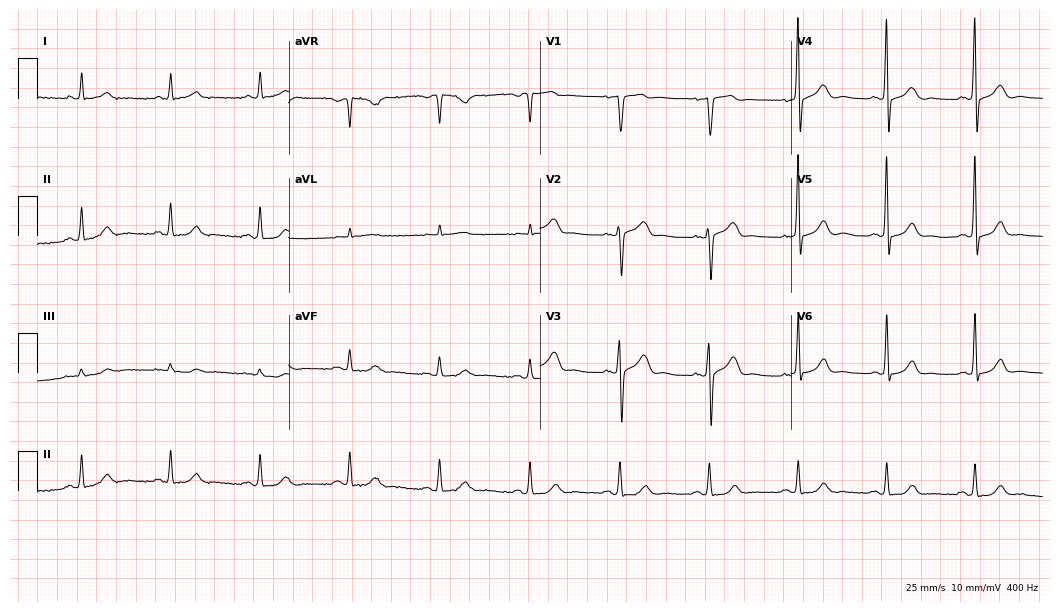
Electrocardiogram (10.2-second recording at 400 Hz), a 73-year-old man. Overall reading on record: normal ECG.